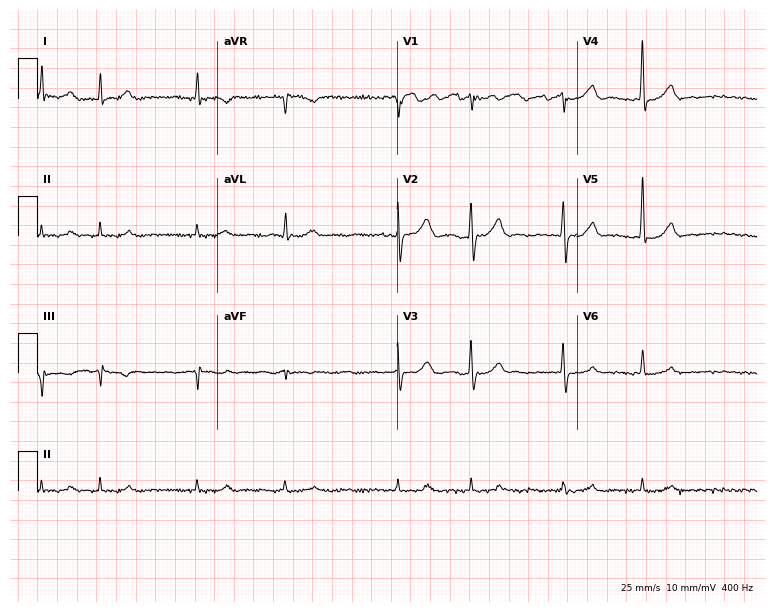
12-lead ECG from a male patient, 74 years old (7.3-second recording at 400 Hz). No first-degree AV block, right bundle branch block, left bundle branch block, sinus bradycardia, atrial fibrillation or sinus tachycardia recorded for this tracing.